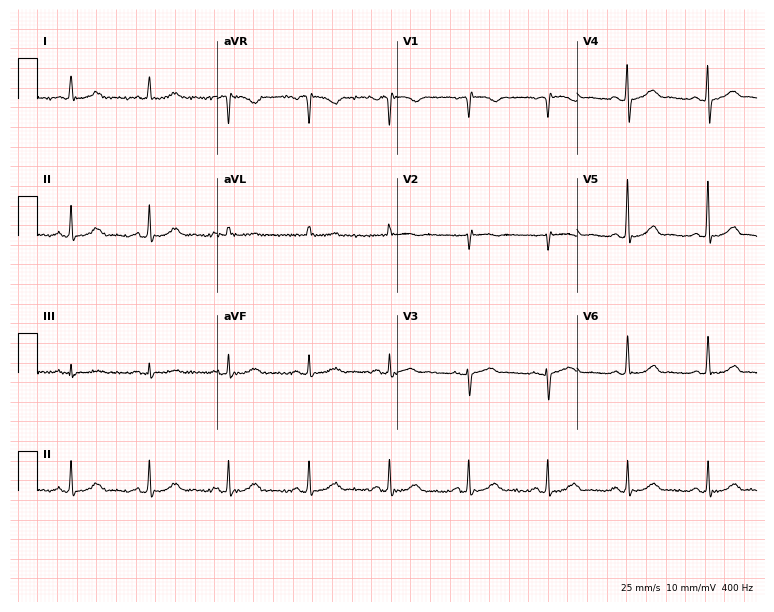
Standard 12-lead ECG recorded from a woman, 56 years old (7.3-second recording at 400 Hz). Read as a normal ECG.